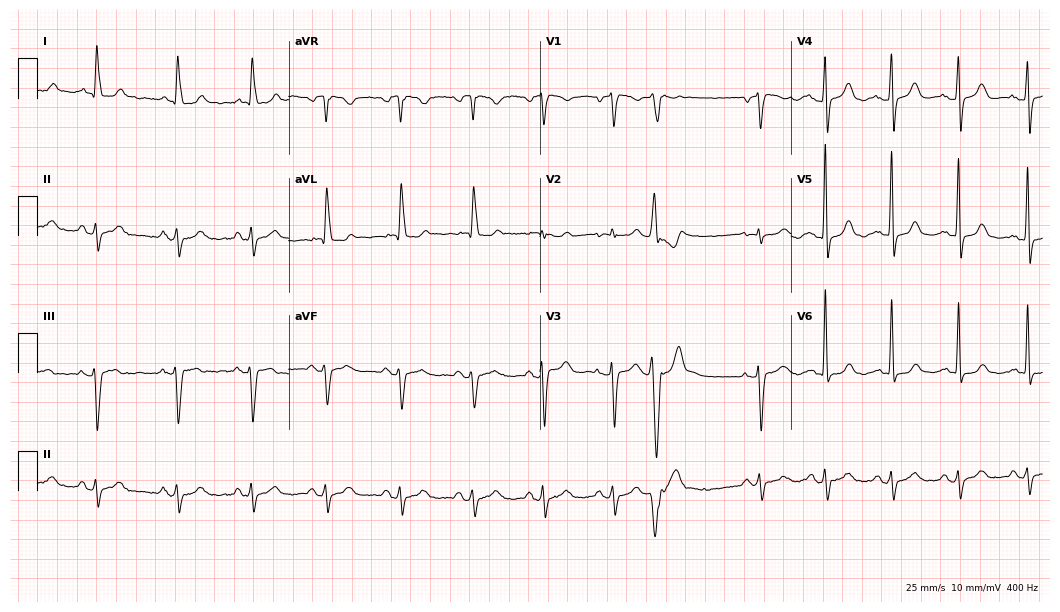
ECG (10.2-second recording at 400 Hz) — a woman, 79 years old. Screened for six findings — first-degree AV block, right bundle branch block, left bundle branch block, sinus bradycardia, atrial fibrillation, sinus tachycardia — none is recorded.